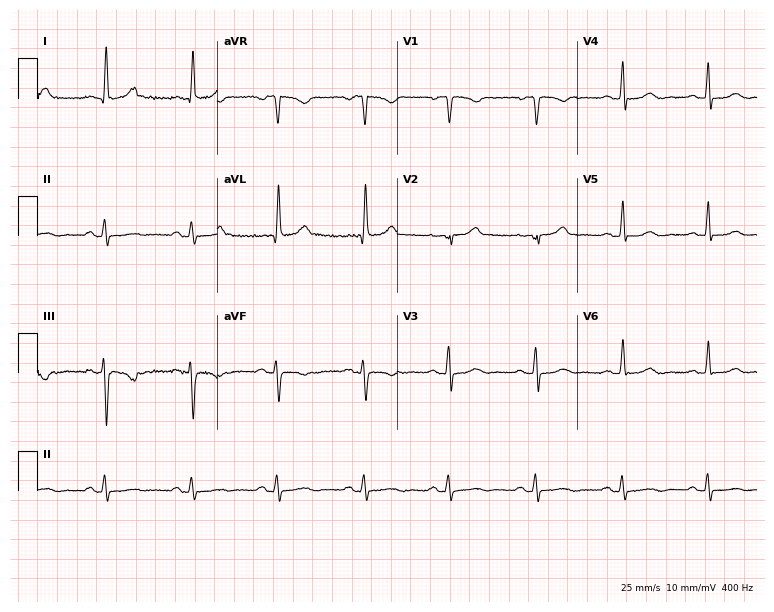
12-lead ECG from an 82-year-old female patient (7.3-second recording at 400 Hz). No first-degree AV block, right bundle branch block, left bundle branch block, sinus bradycardia, atrial fibrillation or sinus tachycardia recorded for this tracing. Other findings, if any, are not listed.